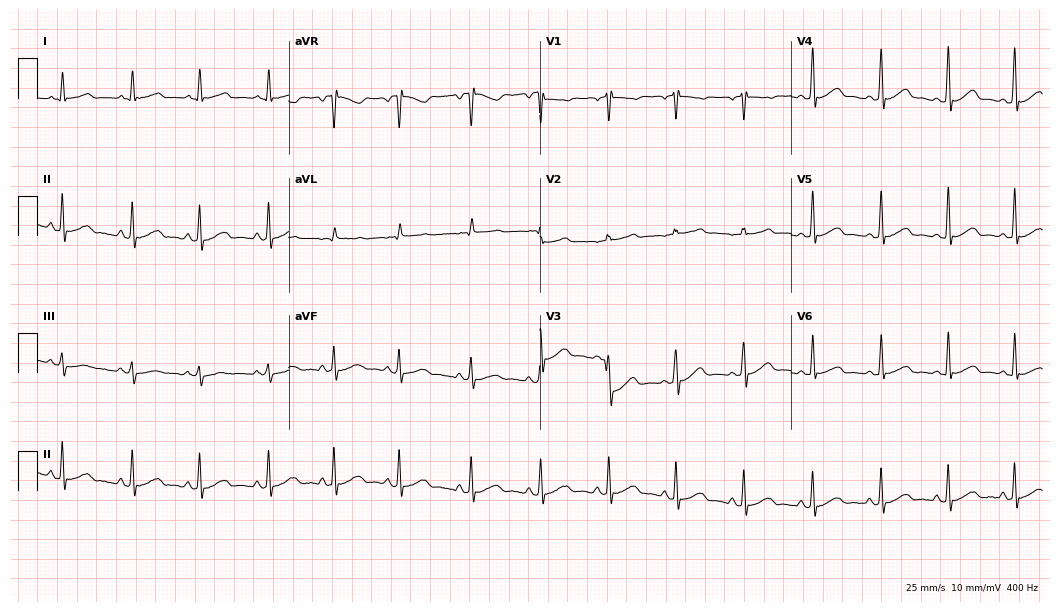
Standard 12-lead ECG recorded from a 50-year-old female patient. Read as a normal ECG.